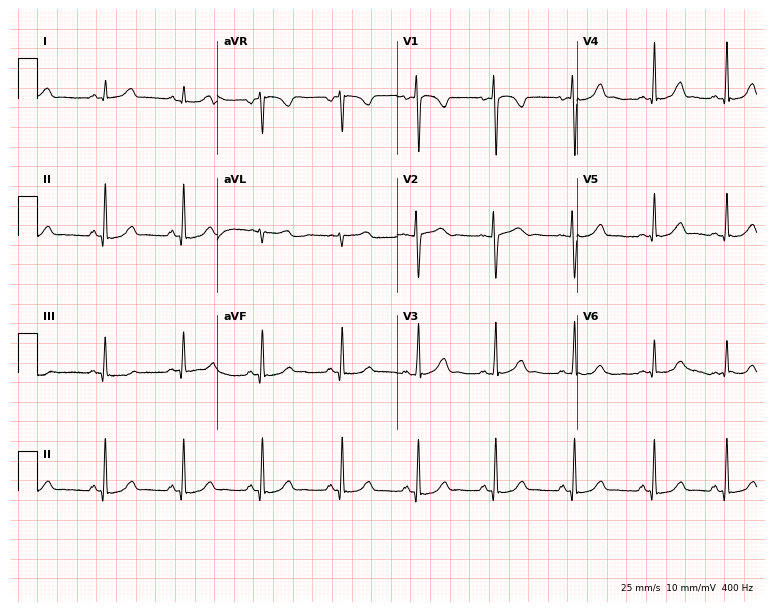
12-lead ECG from a female patient, 28 years old. Labelled as a normal ECG.